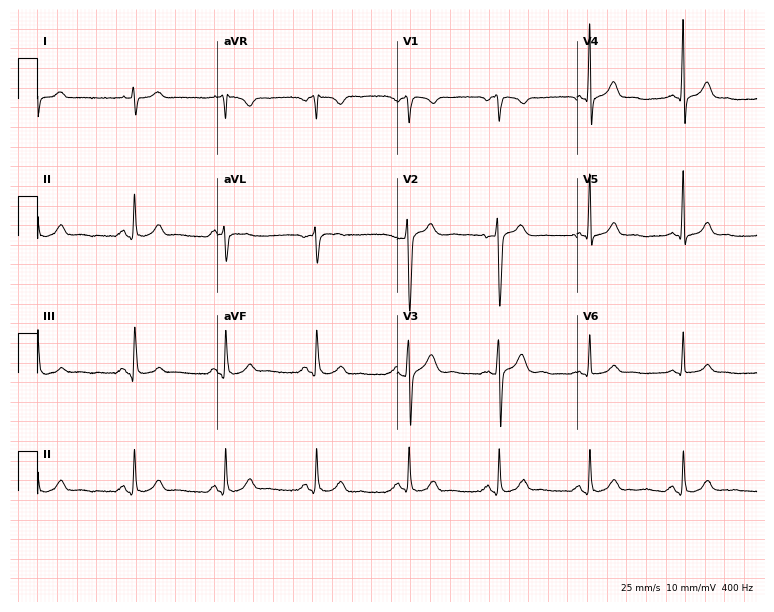
Electrocardiogram, a 45-year-old male patient. Overall reading on record: normal ECG.